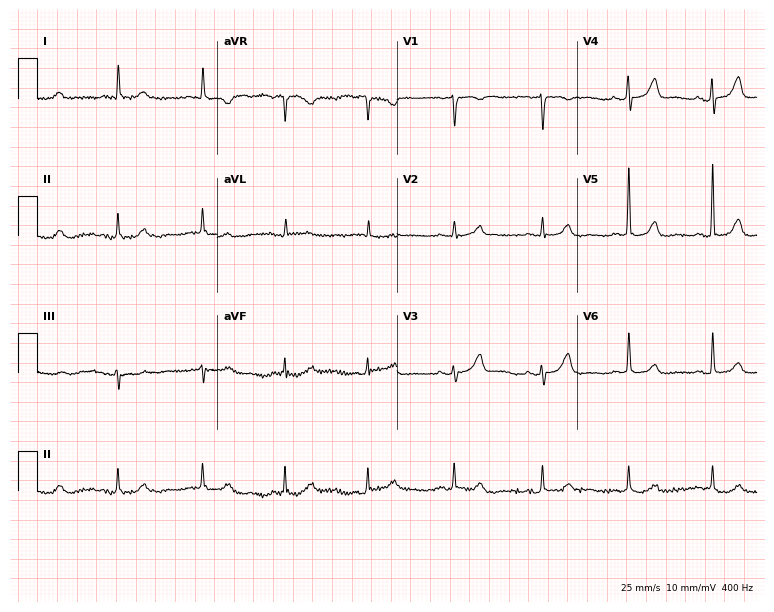
Electrocardiogram (7.3-second recording at 400 Hz), a 70-year-old woman. Overall reading on record: normal ECG.